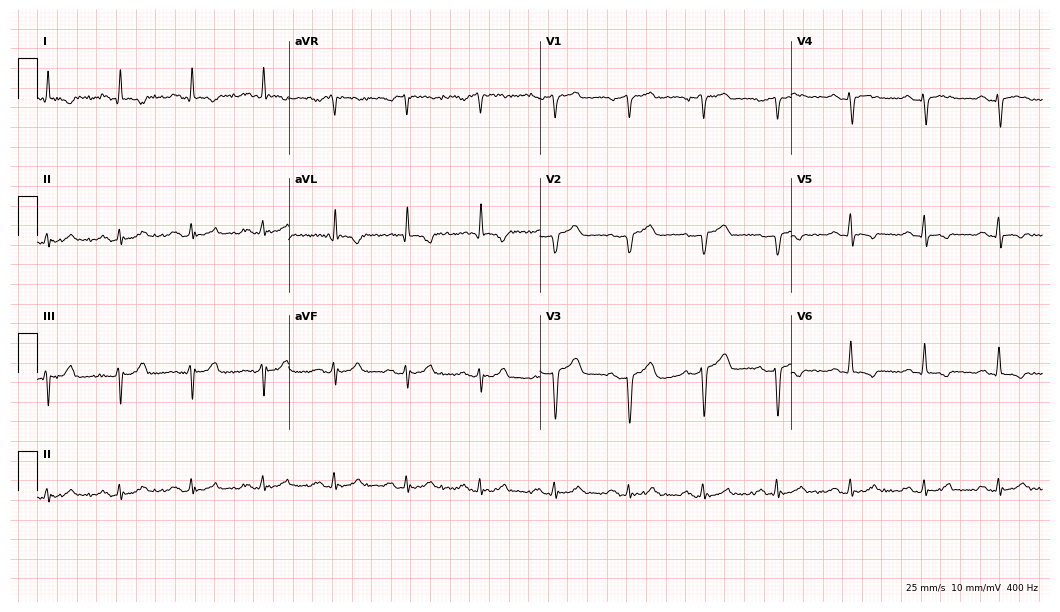
Electrocardiogram, a male, 50 years old. Overall reading on record: normal ECG.